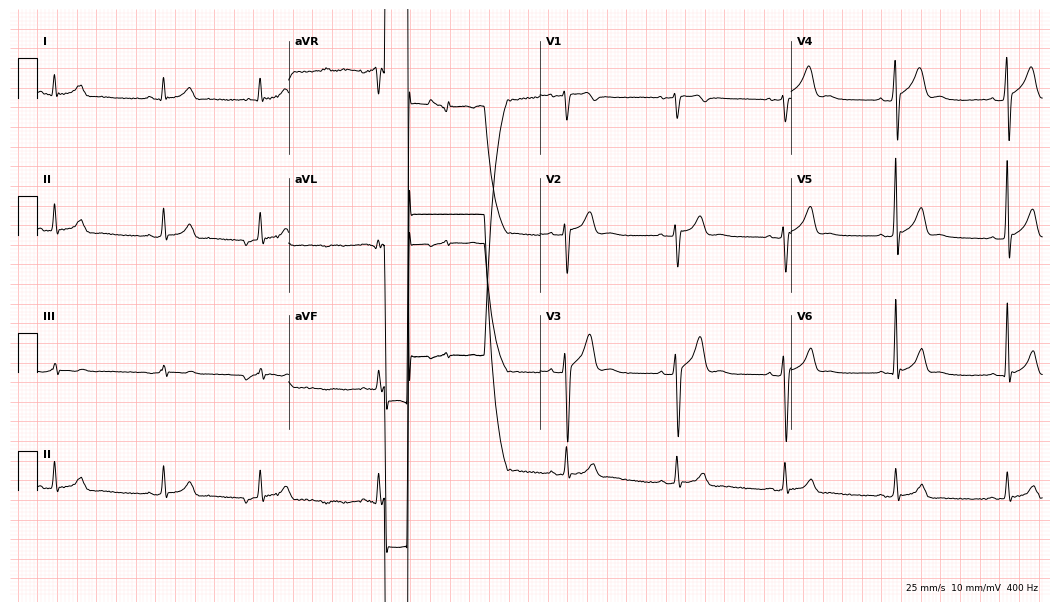
ECG (10.2-second recording at 400 Hz) — a male, 23 years old. Screened for six findings — first-degree AV block, right bundle branch block, left bundle branch block, sinus bradycardia, atrial fibrillation, sinus tachycardia — none is recorded. Findings outside these six are not listed.